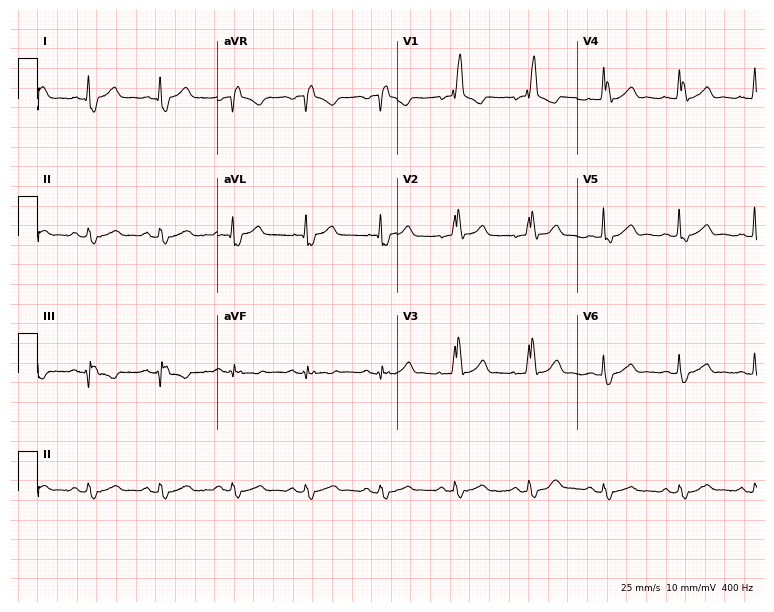
Resting 12-lead electrocardiogram (7.3-second recording at 400 Hz). Patient: a man, 83 years old. The tracing shows right bundle branch block.